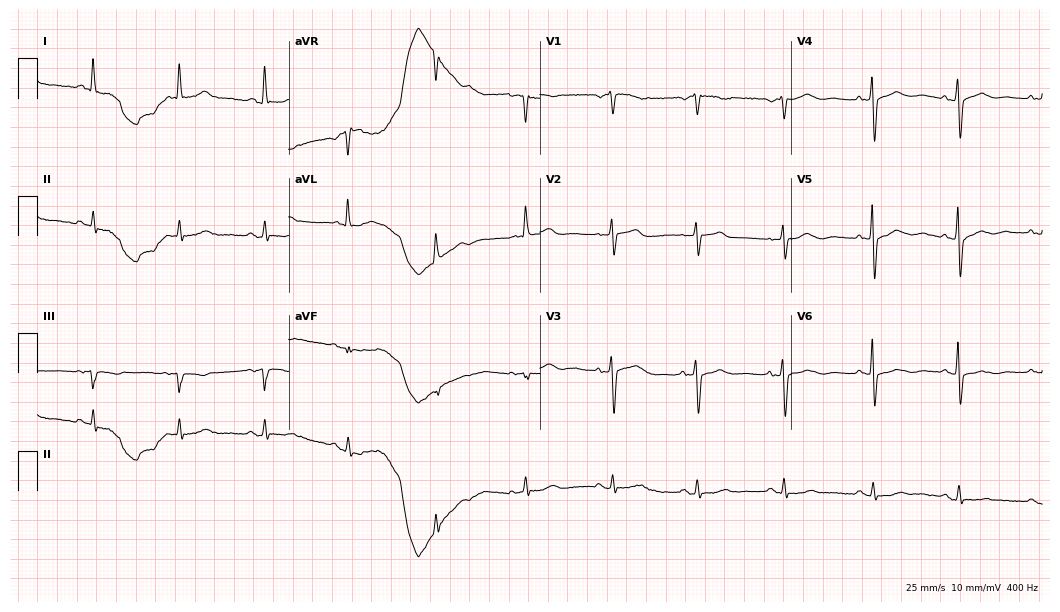
Standard 12-lead ECG recorded from a female, 65 years old (10.2-second recording at 400 Hz). None of these six findings is recorded: first-degree AV block, right bundle branch block (RBBB), left bundle branch block (LBBB), sinus bradycardia, atrial fibrillation (AF), sinus tachycardia. Findings outside these six are not listed.